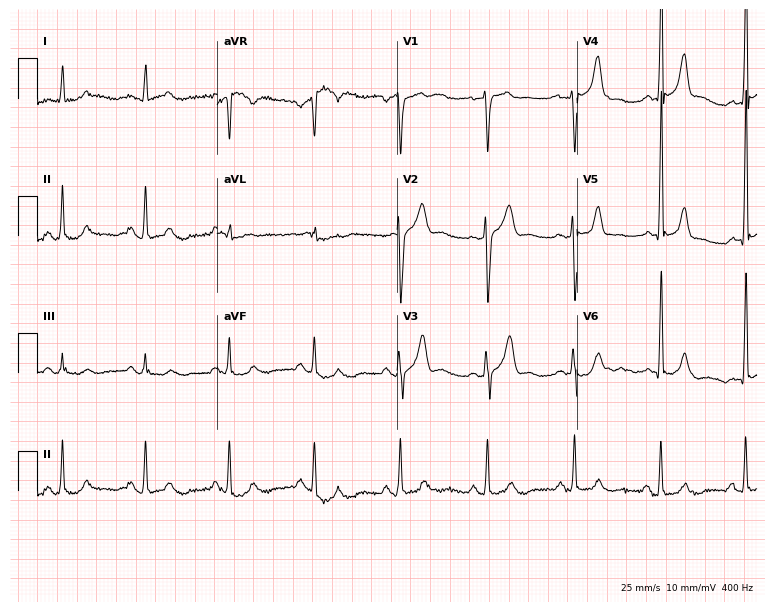
Electrocardiogram, a 61-year-old male. Of the six screened findings (first-degree AV block, right bundle branch block, left bundle branch block, sinus bradycardia, atrial fibrillation, sinus tachycardia), none is recorded.